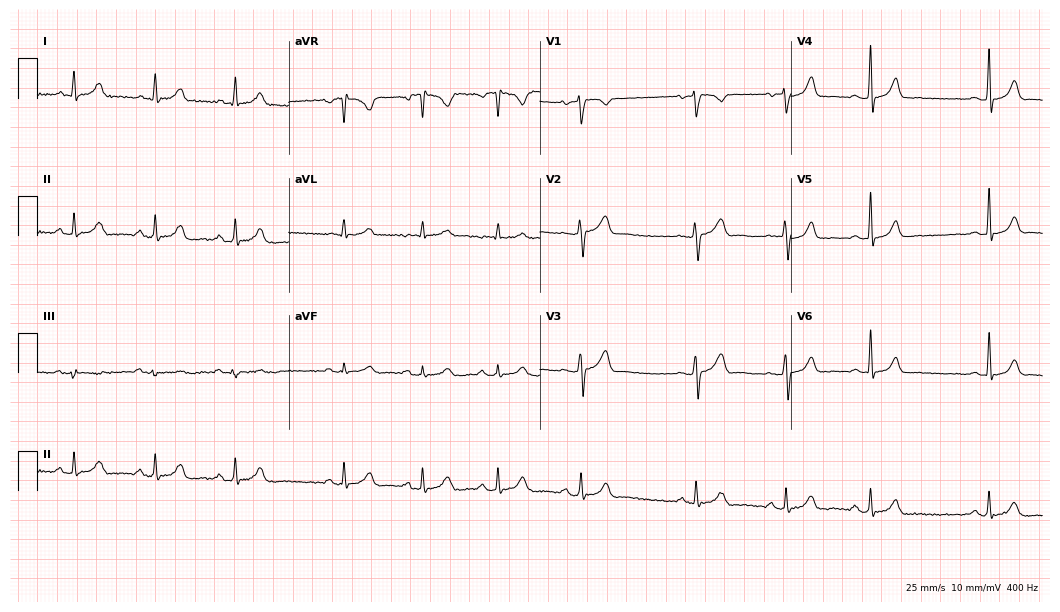
Standard 12-lead ECG recorded from a 27-year-old woman (10.2-second recording at 400 Hz). None of these six findings is recorded: first-degree AV block, right bundle branch block, left bundle branch block, sinus bradycardia, atrial fibrillation, sinus tachycardia. Only these six findings were labelled.